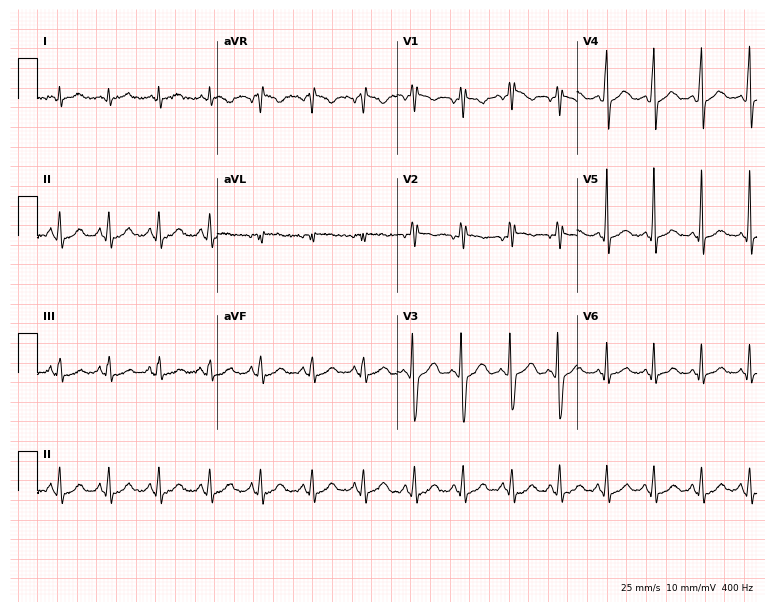
12-lead ECG (7.3-second recording at 400 Hz) from a 23-year-old female. Findings include sinus tachycardia (a sinus rate of 100 beats per minute or more).